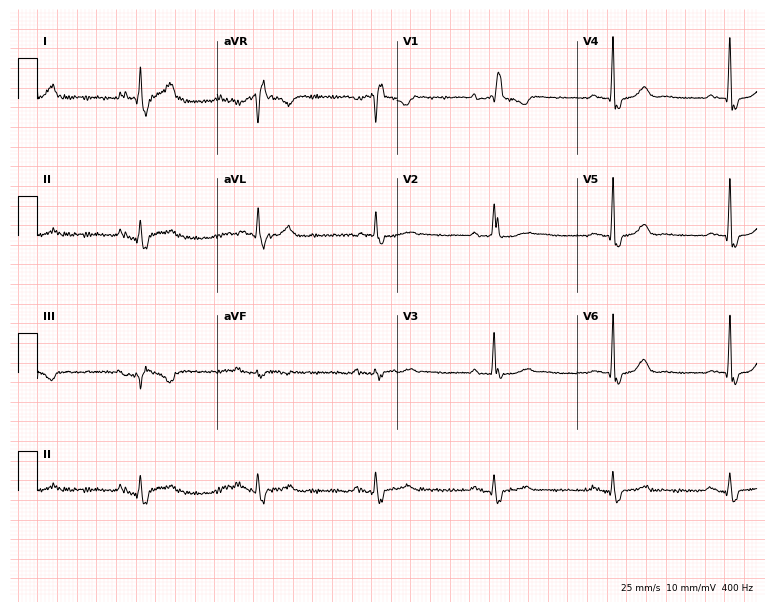
Standard 12-lead ECG recorded from a 76-year-old female (7.3-second recording at 400 Hz). The tracing shows right bundle branch block.